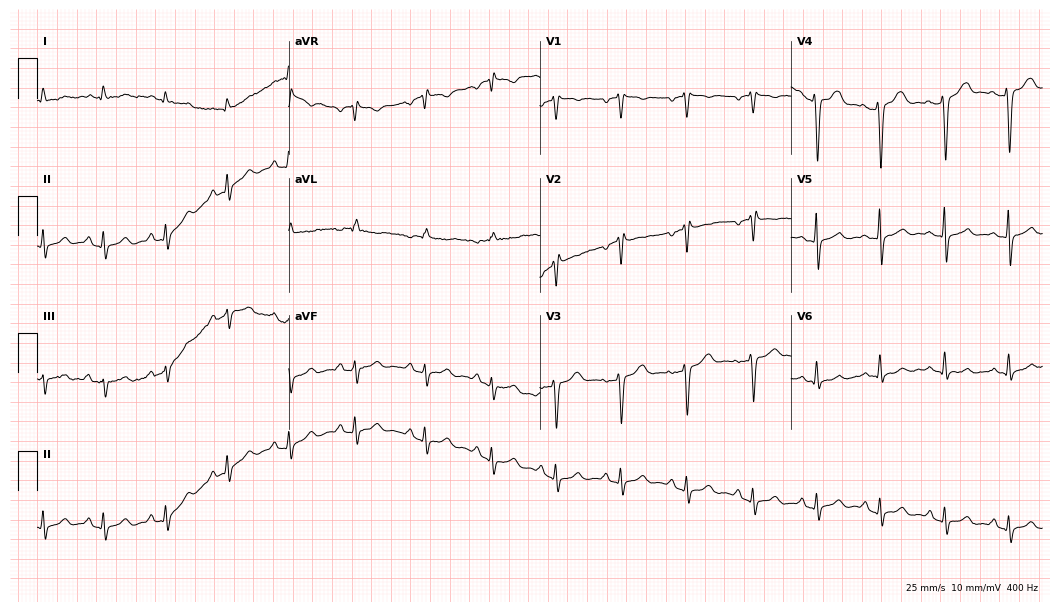
12-lead ECG from a 29-year-old female patient. Labelled as a normal ECG.